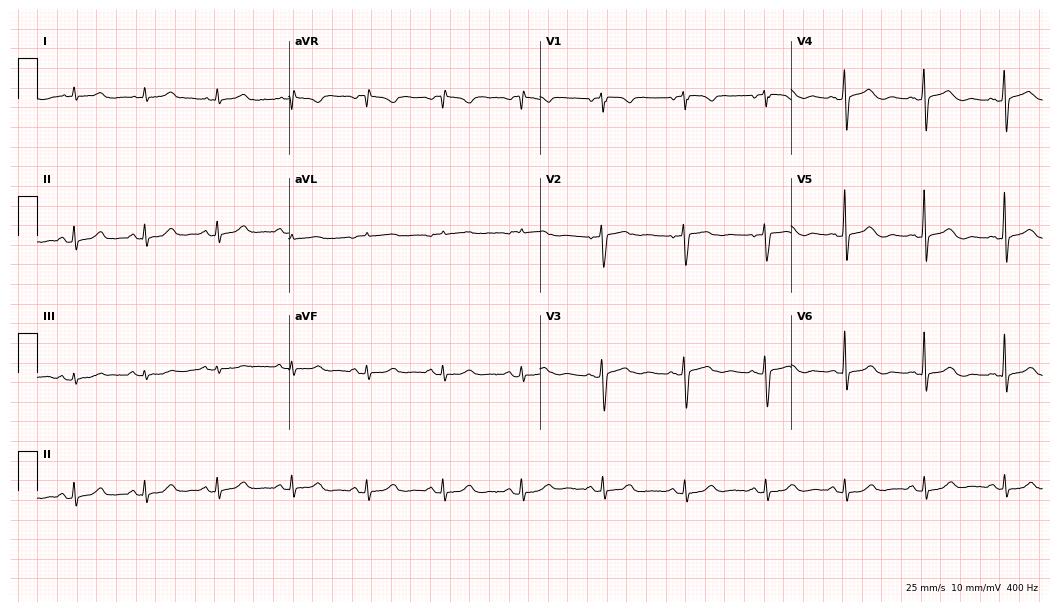
Electrocardiogram (10.2-second recording at 400 Hz), an 80-year-old female. Of the six screened findings (first-degree AV block, right bundle branch block, left bundle branch block, sinus bradycardia, atrial fibrillation, sinus tachycardia), none is recorded. Findings outside these six are not listed.